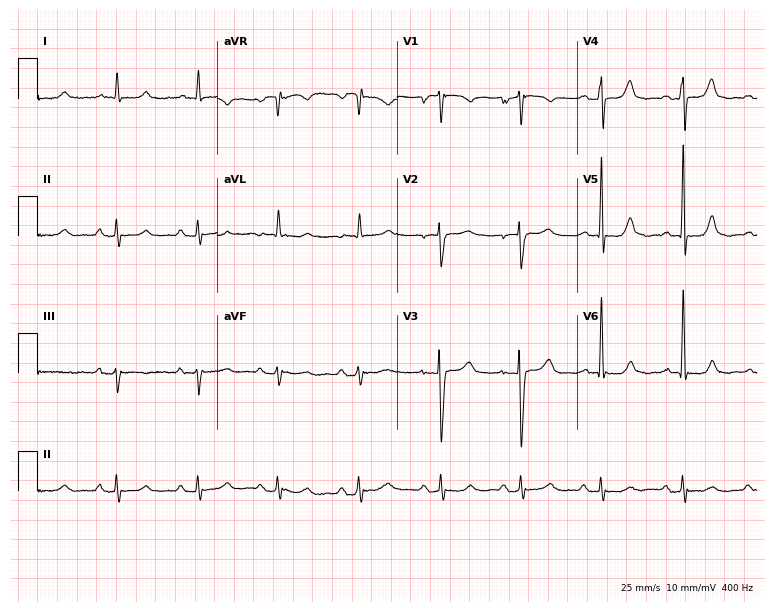
Standard 12-lead ECG recorded from an 81-year-old female patient (7.3-second recording at 400 Hz). None of these six findings is recorded: first-degree AV block, right bundle branch block, left bundle branch block, sinus bradycardia, atrial fibrillation, sinus tachycardia.